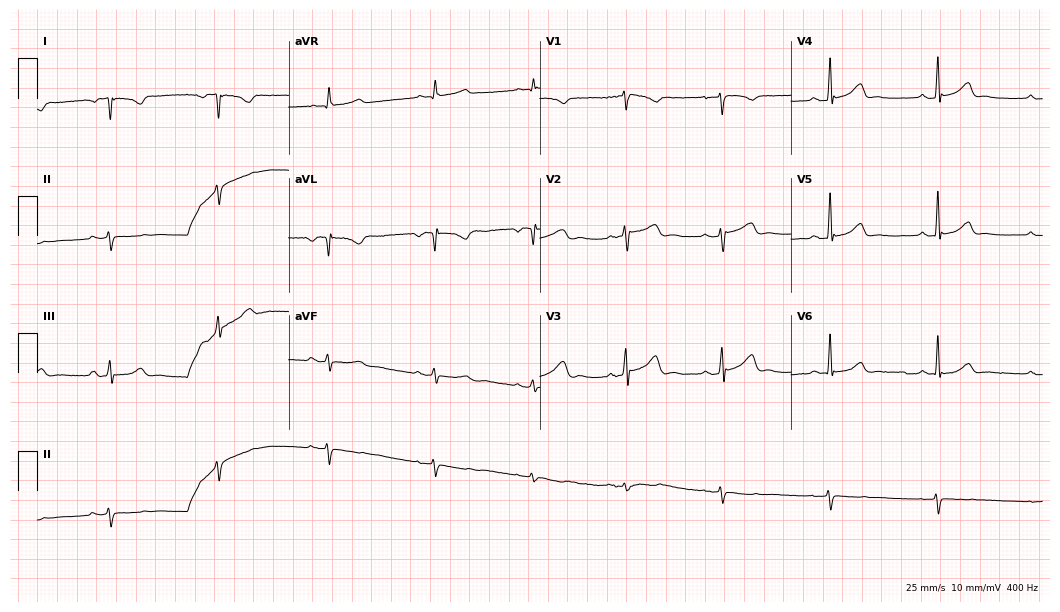
ECG — a female patient, 31 years old. Screened for six findings — first-degree AV block, right bundle branch block, left bundle branch block, sinus bradycardia, atrial fibrillation, sinus tachycardia — none is recorded. Findings outside these six are not listed.